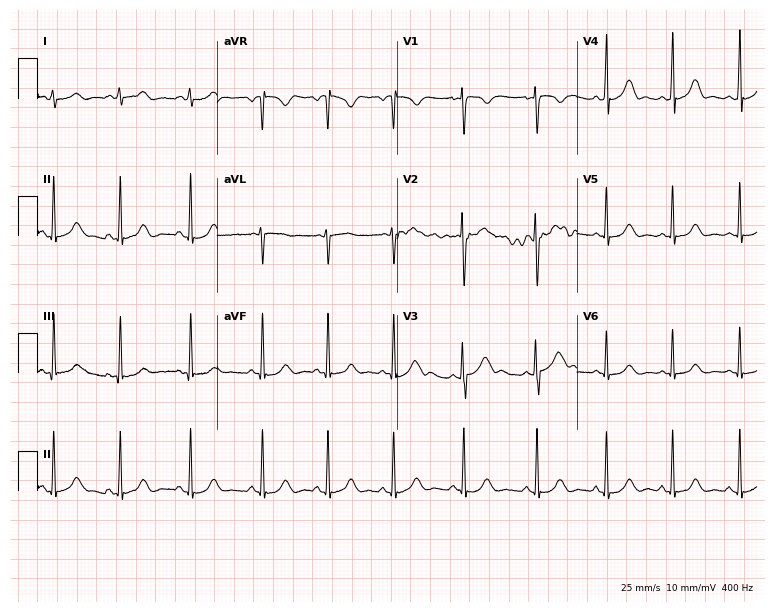
Electrocardiogram, a woman, 17 years old. Of the six screened findings (first-degree AV block, right bundle branch block (RBBB), left bundle branch block (LBBB), sinus bradycardia, atrial fibrillation (AF), sinus tachycardia), none is recorded. Only these six findings were labelled.